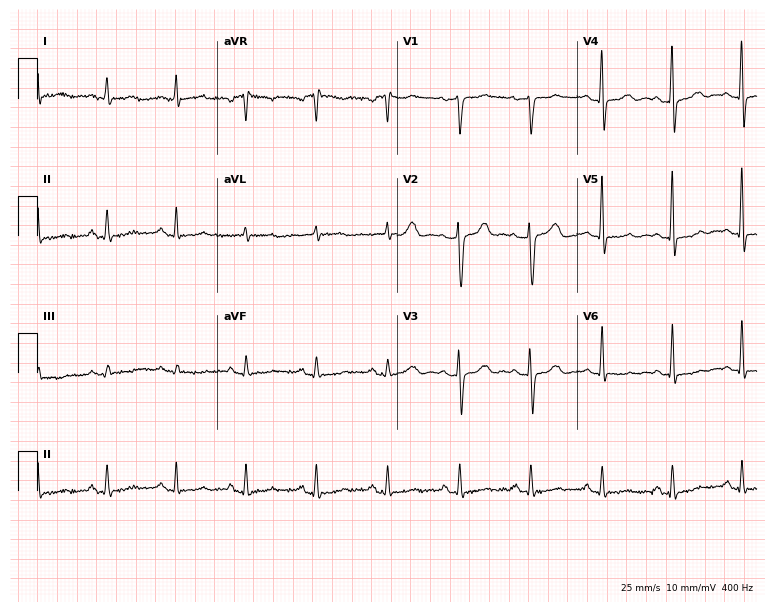
Resting 12-lead electrocardiogram (7.3-second recording at 400 Hz). Patient: a male, 62 years old. None of these six findings is recorded: first-degree AV block, right bundle branch block, left bundle branch block, sinus bradycardia, atrial fibrillation, sinus tachycardia.